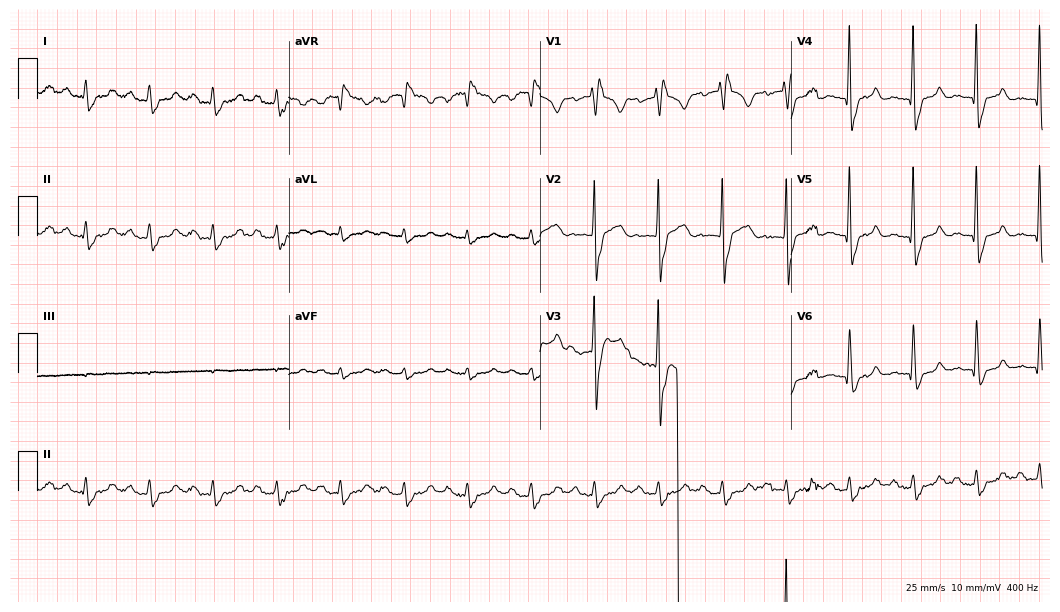
ECG (10.2-second recording at 400 Hz) — a male patient, 70 years old. Screened for six findings — first-degree AV block, right bundle branch block (RBBB), left bundle branch block (LBBB), sinus bradycardia, atrial fibrillation (AF), sinus tachycardia — none is recorded.